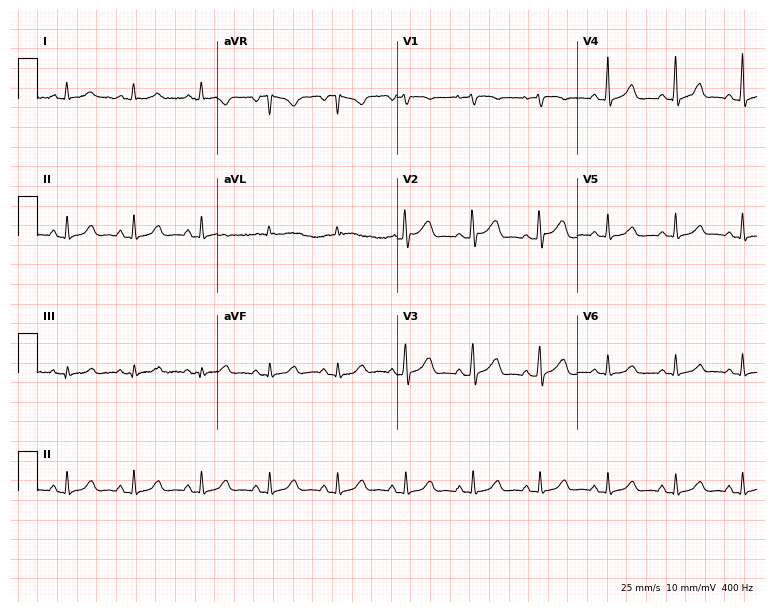
12-lead ECG from a 57-year-old female. Screened for six findings — first-degree AV block, right bundle branch block, left bundle branch block, sinus bradycardia, atrial fibrillation, sinus tachycardia — none is recorded. Only these six findings were labelled.